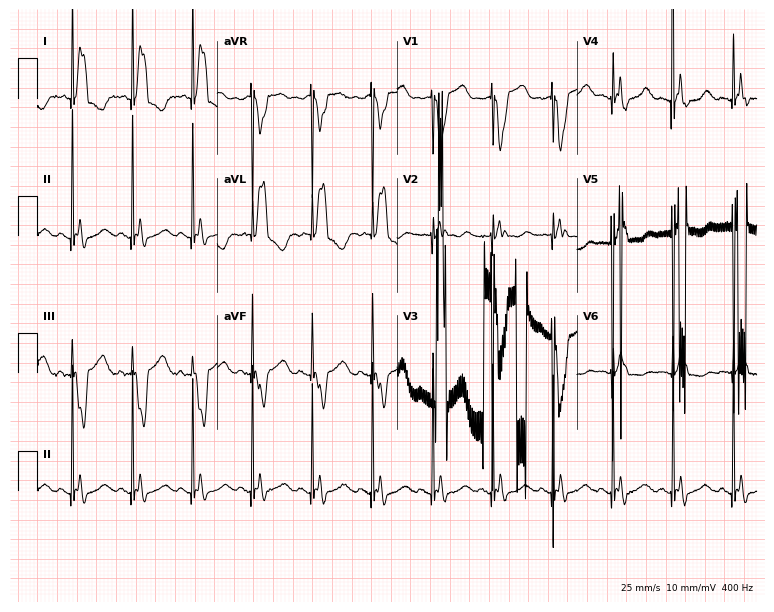
Resting 12-lead electrocardiogram. Patient: a woman, 84 years old. None of these six findings is recorded: first-degree AV block, right bundle branch block, left bundle branch block, sinus bradycardia, atrial fibrillation, sinus tachycardia. Findings outside these six are not listed.